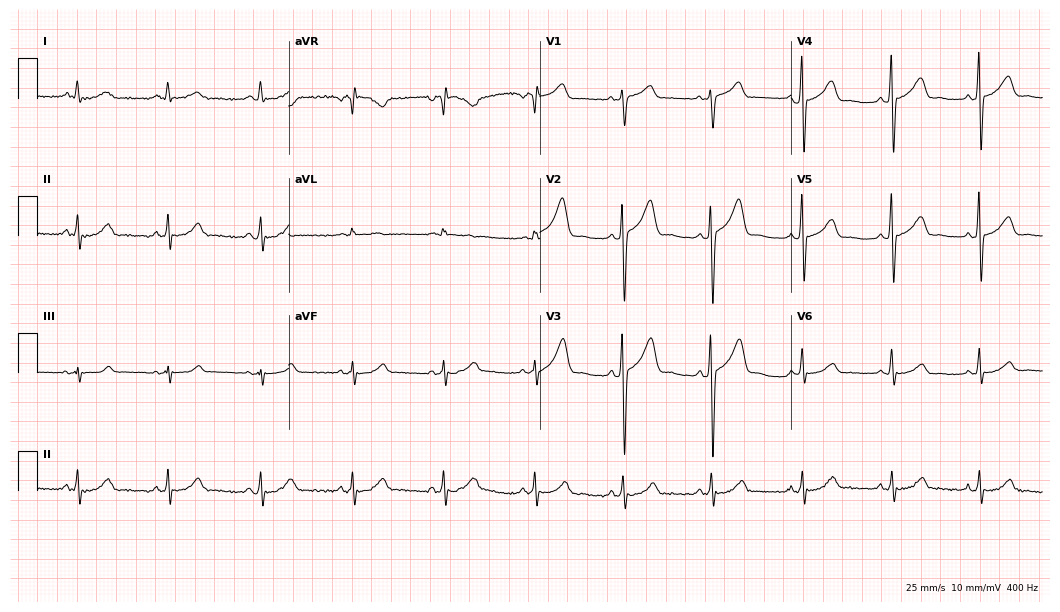
Standard 12-lead ECG recorded from a 58-year-old male (10.2-second recording at 400 Hz). Read as a normal ECG.